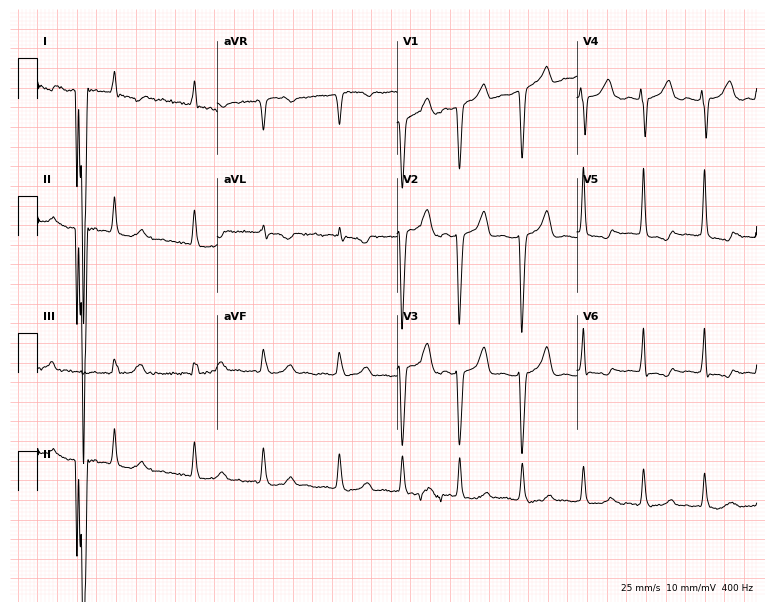
Resting 12-lead electrocardiogram (7.3-second recording at 400 Hz). Patient: a female, 79 years old. The tracing shows atrial fibrillation.